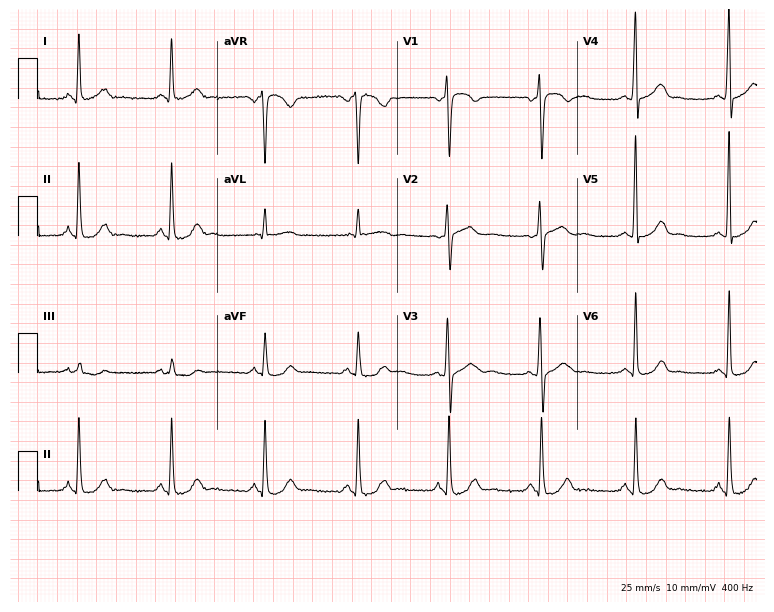
Resting 12-lead electrocardiogram. Patient: a 50-year-old female. Read as a normal ECG.